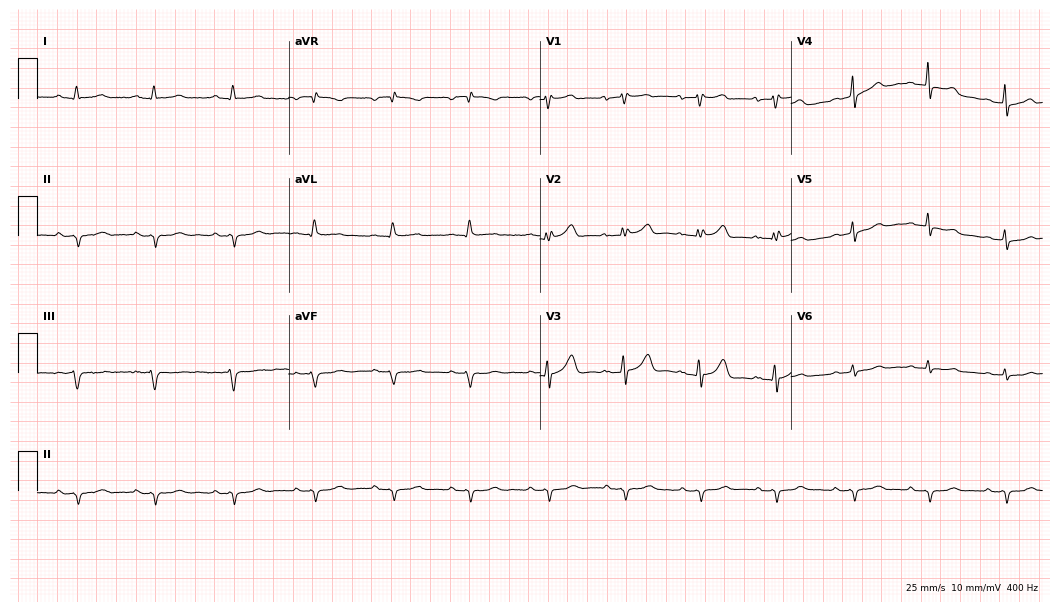
Electrocardiogram (10.2-second recording at 400 Hz), a female, 31 years old. Of the six screened findings (first-degree AV block, right bundle branch block, left bundle branch block, sinus bradycardia, atrial fibrillation, sinus tachycardia), none is recorded. Other findings, if any, are not listed.